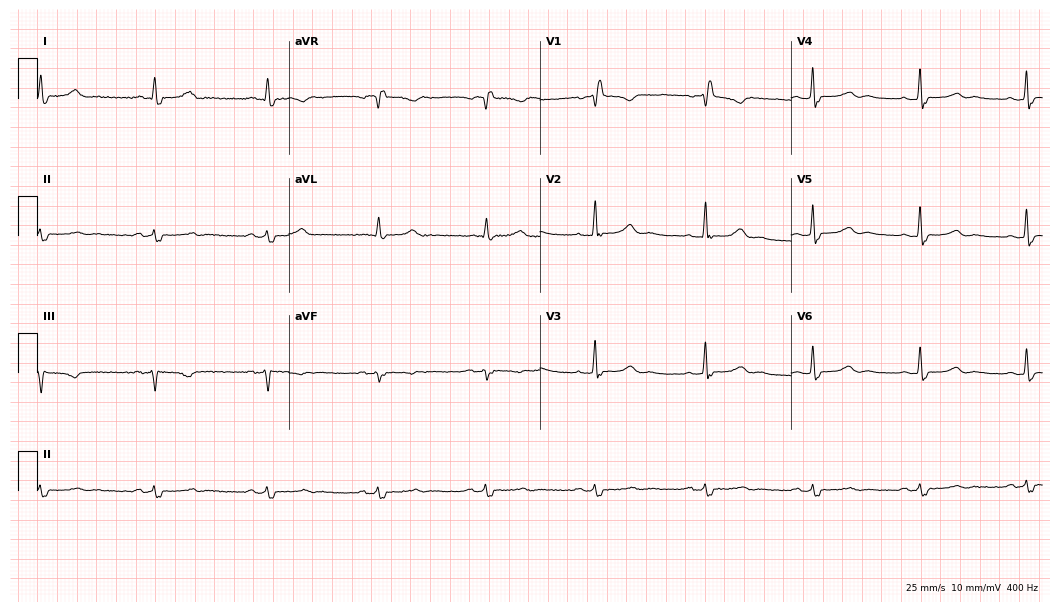
12-lead ECG from a woman, 56 years old. No first-degree AV block, right bundle branch block, left bundle branch block, sinus bradycardia, atrial fibrillation or sinus tachycardia recorded for this tracing.